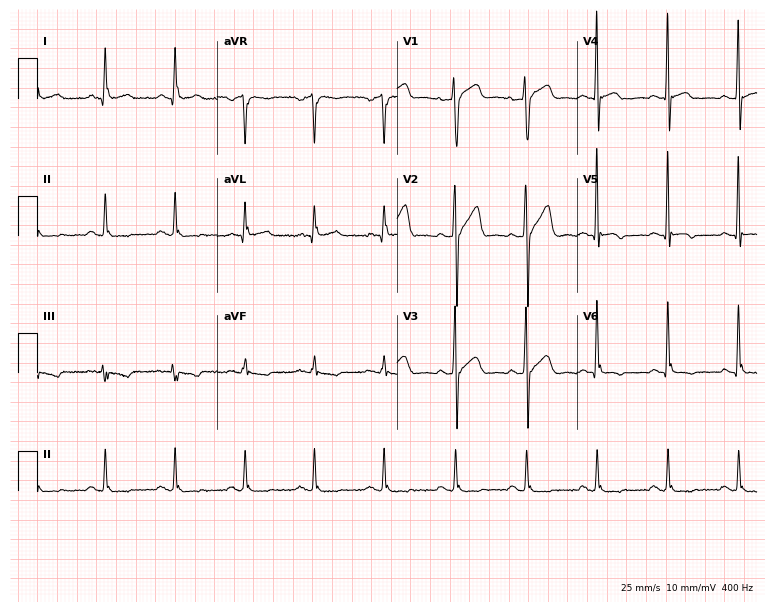
12-lead ECG from a 51-year-old male. No first-degree AV block, right bundle branch block, left bundle branch block, sinus bradycardia, atrial fibrillation or sinus tachycardia recorded for this tracing. Findings outside these six are not listed.